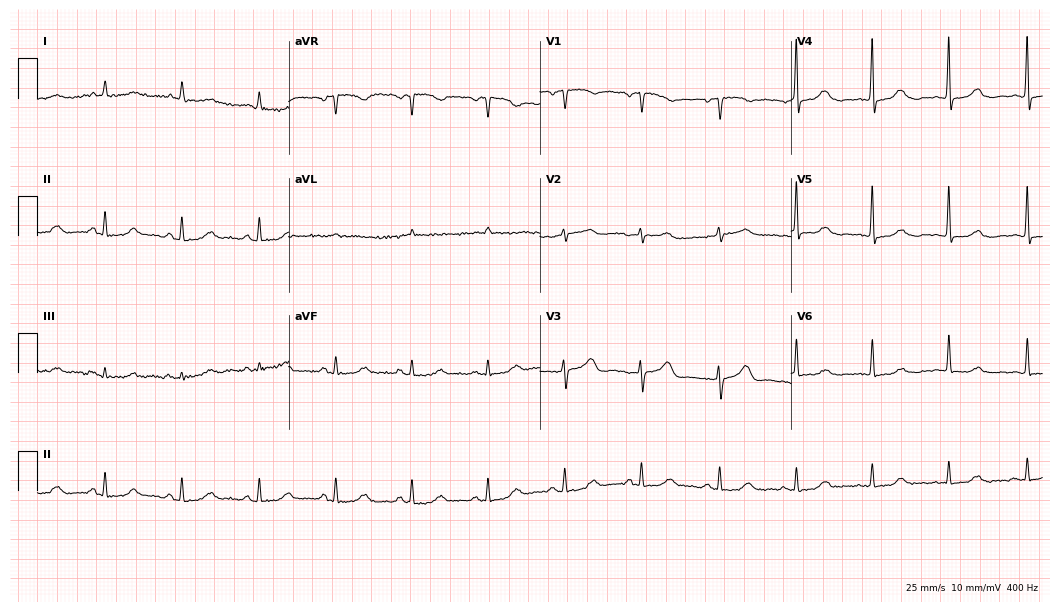
12-lead ECG from a woman, 80 years old. No first-degree AV block, right bundle branch block, left bundle branch block, sinus bradycardia, atrial fibrillation or sinus tachycardia recorded for this tracing. Findings outside these six are not listed.